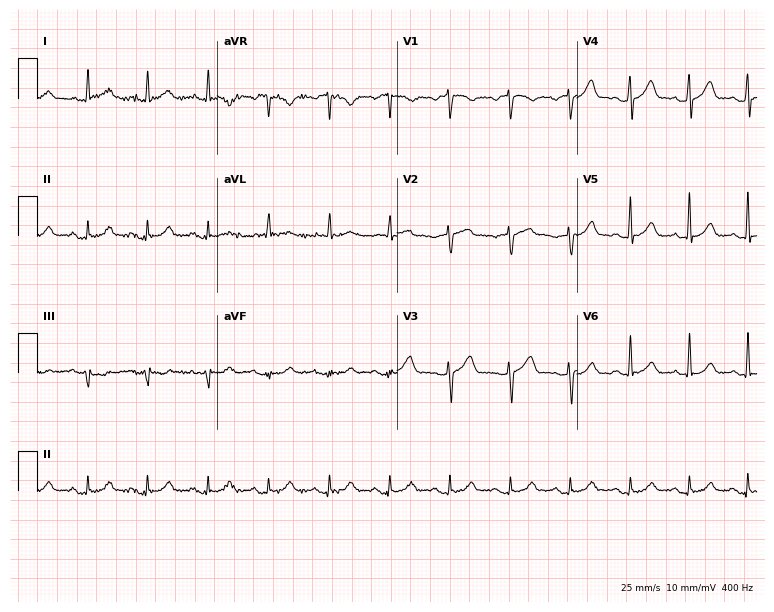
Resting 12-lead electrocardiogram (7.3-second recording at 400 Hz). Patient: a male, 65 years old. None of these six findings is recorded: first-degree AV block, right bundle branch block, left bundle branch block, sinus bradycardia, atrial fibrillation, sinus tachycardia. Only these six findings were labelled.